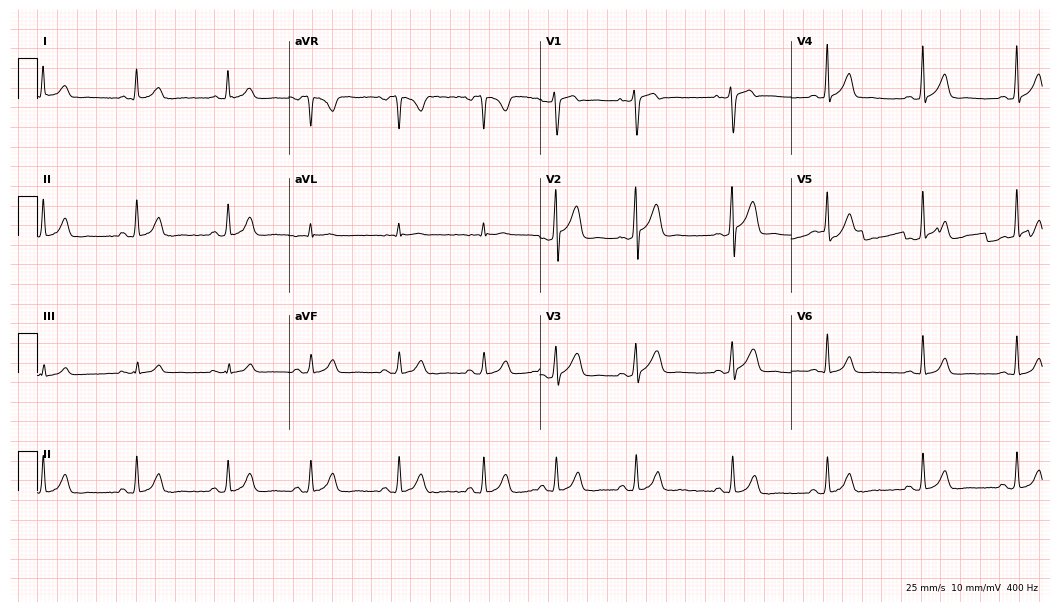
Electrocardiogram, a 34-year-old male. Overall reading on record: normal ECG.